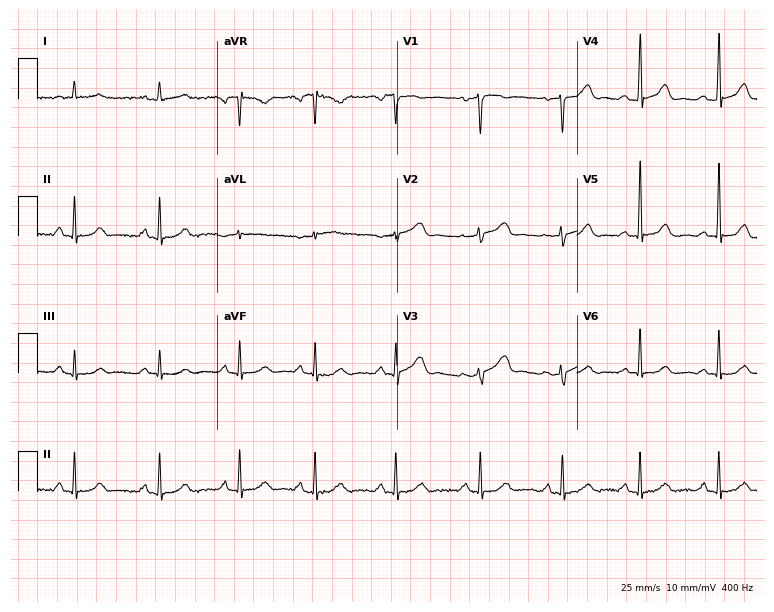
ECG — a 36-year-old woman. Screened for six findings — first-degree AV block, right bundle branch block, left bundle branch block, sinus bradycardia, atrial fibrillation, sinus tachycardia — none is recorded.